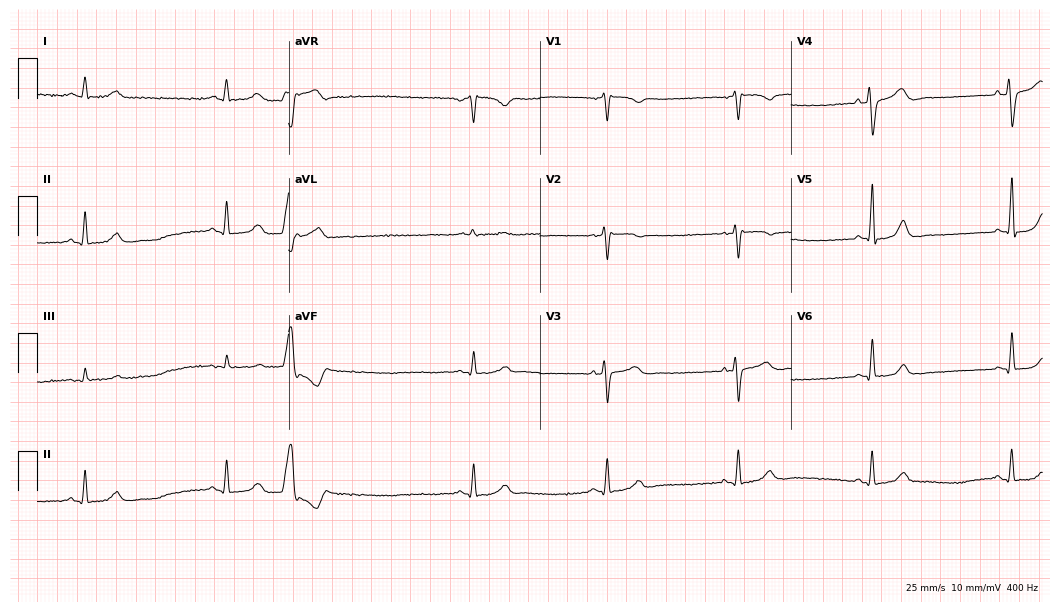
Resting 12-lead electrocardiogram. Patient: a woman, 51 years old. None of these six findings is recorded: first-degree AV block, right bundle branch block, left bundle branch block, sinus bradycardia, atrial fibrillation, sinus tachycardia.